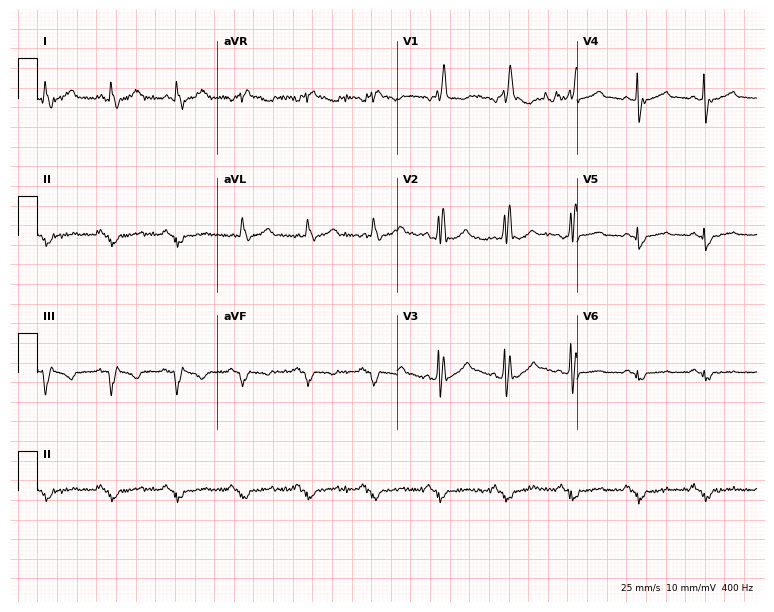
12-lead ECG (7.3-second recording at 400 Hz) from an 80-year-old male. Findings include right bundle branch block.